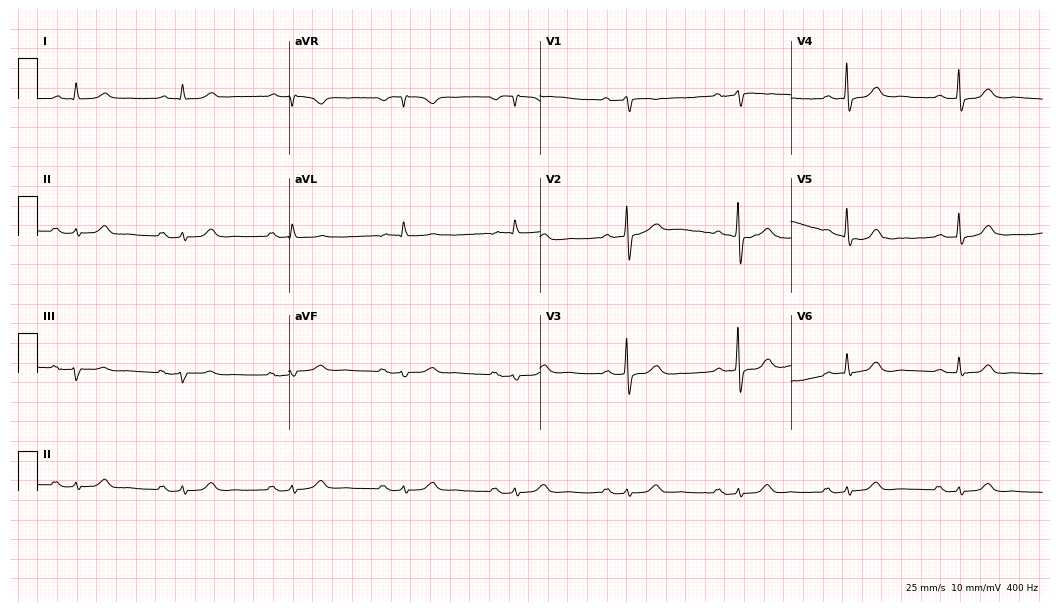
Electrocardiogram (10.2-second recording at 400 Hz), a male patient, 71 years old. Interpretation includes first-degree AV block.